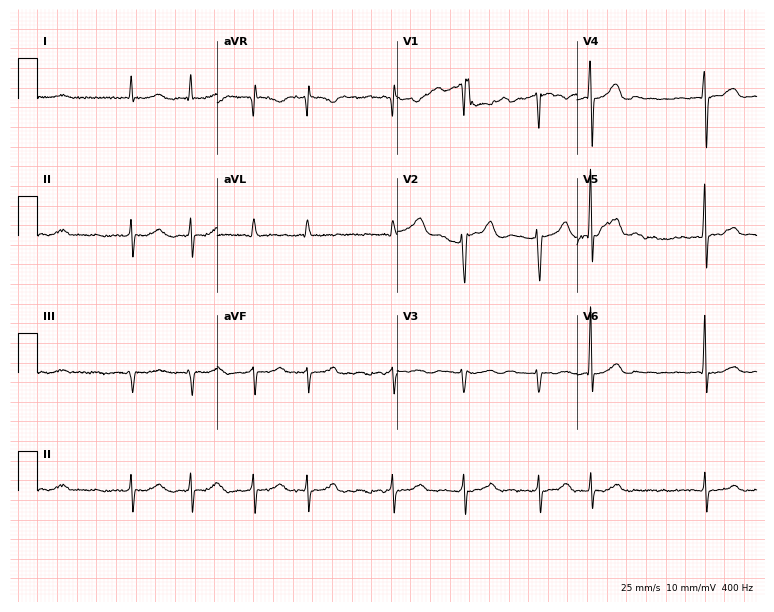
12-lead ECG from an 84-year-old female patient (7.3-second recording at 400 Hz). Shows atrial fibrillation (AF).